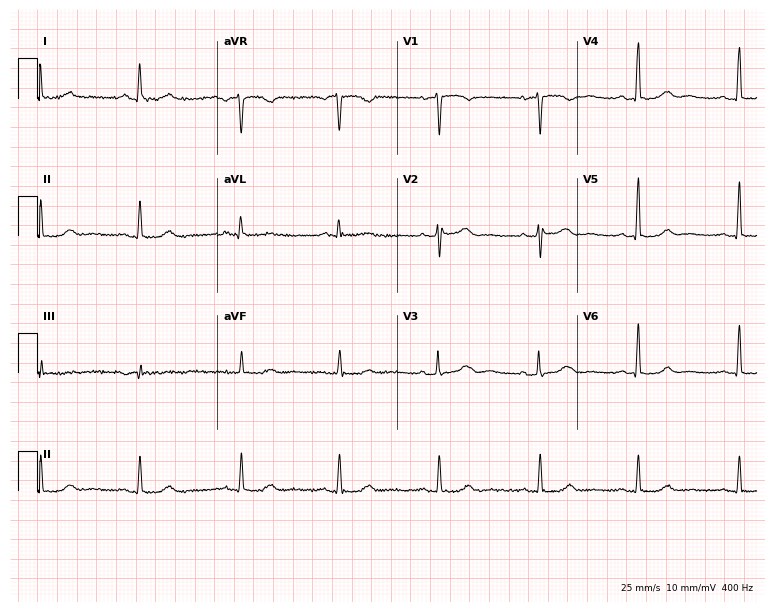
ECG — a 52-year-old female. Screened for six findings — first-degree AV block, right bundle branch block (RBBB), left bundle branch block (LBBB), sinus bradycardia, atrial fibrillation (AF), sinus tachycardia — none is recorded. Findings outside these six are not listed.